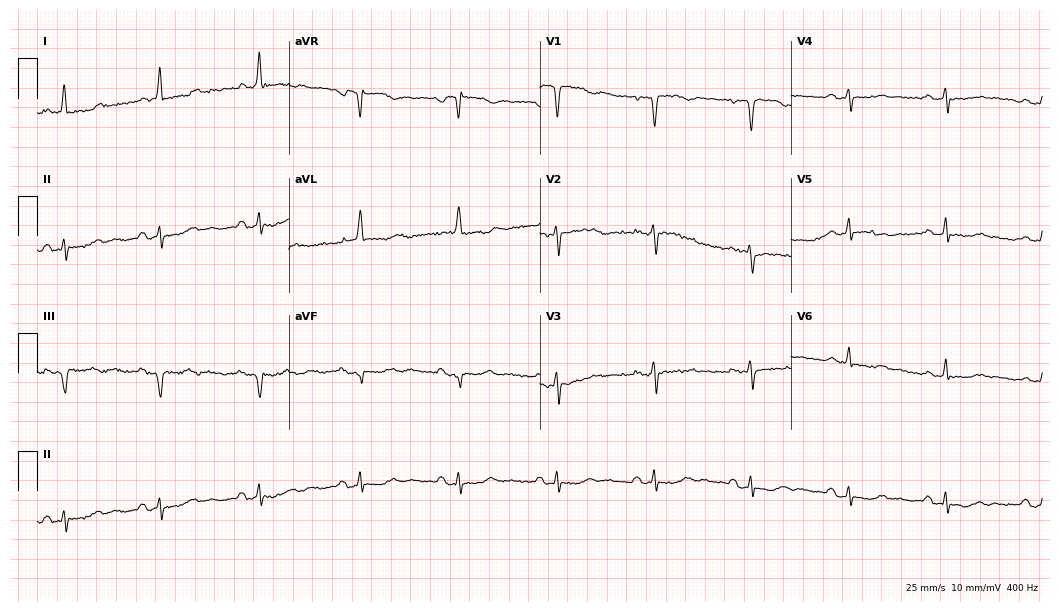
12-lead ECG from a female, 60 years old. No first-degree AV block, right bundle branch block, left bundle branch block, sinus bradycardia, atrial fibrillation or sinus tachycardia recorded for this tracing. Findings outside these six are not listed.